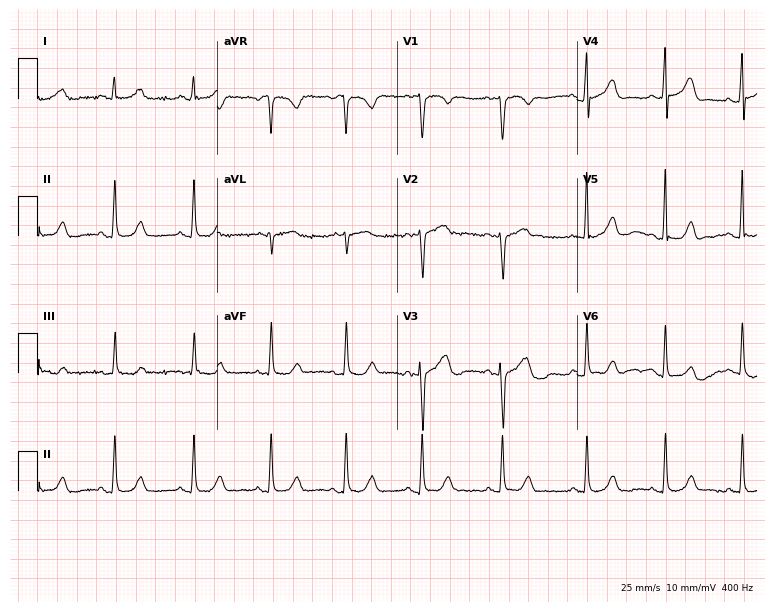
12-lead ECG from a 28-year-old male patient (7.3-second recording at 400 Hz). No first-degree AV block, right bundle branch block, left bundle branch block, sinus bradycardia, atrial fibrillation or sinus tachycardia recorded for this tracing. Other findings, if any, are not listed.